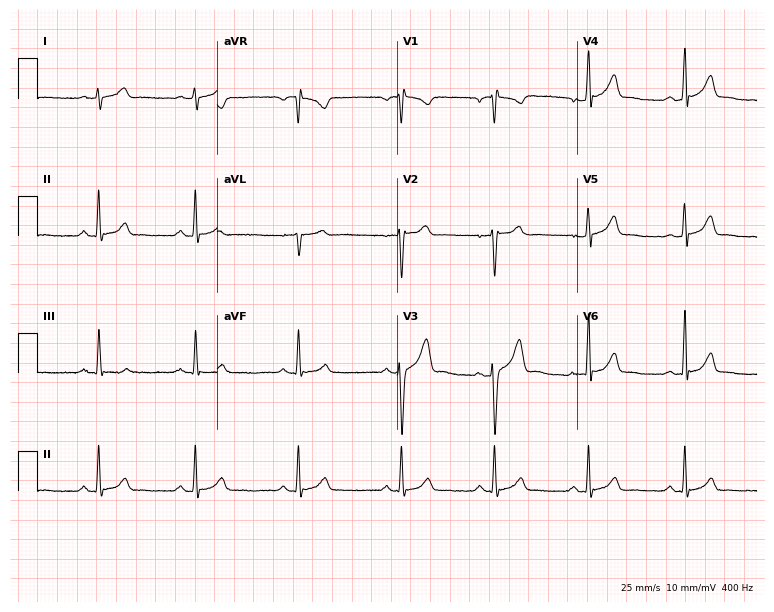
Resting 12-lead electrocardiogram (7.3-second recording at 400 Hz). Patient: a man, 29 years old. Read as a normal ECG.